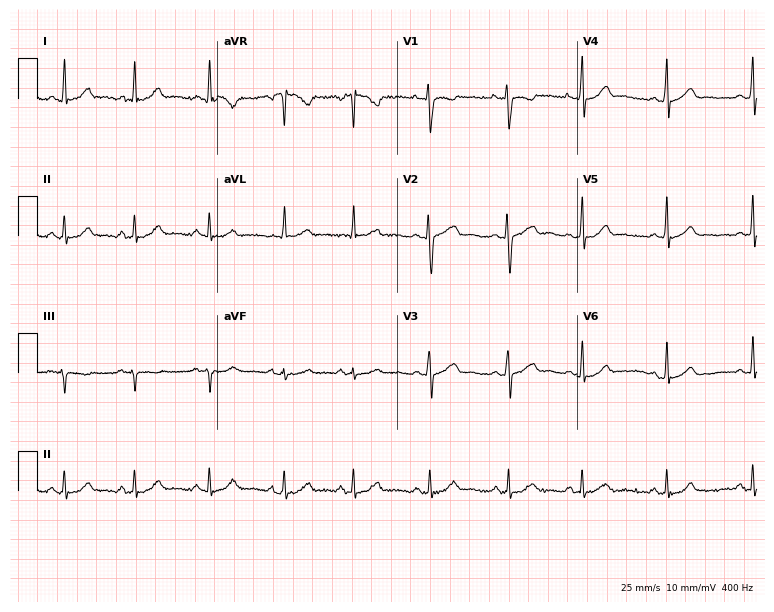
12-lead ECG (7.3-second recording at 400 Hz) from a female, 28 years old. Screened for six findings — first-degree AV block, right bundle branch block, left bundle branch block, sinus bradycardia, atrial fibrillation, sinus tachycardia — none is recorded. Only these six findings were labelled.